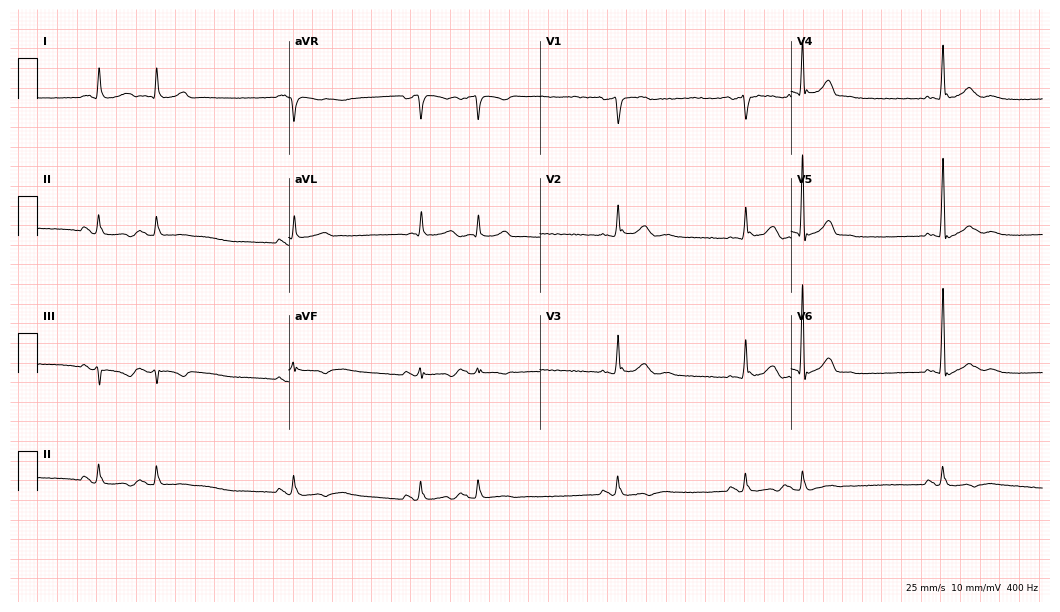
Electrocardiogram, a male, 80 years old. Overall reading on record: normal ECG.